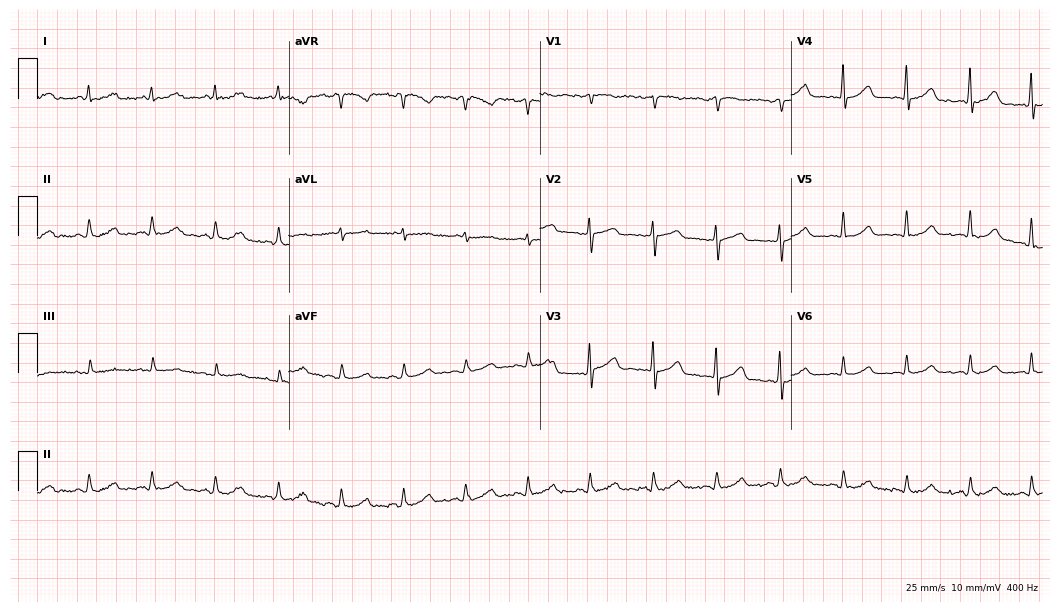
Electrocardiogram, a 64-year-old female patient. Of the six screened findings (first-degree AV block, right bundle branch block (RBBB), left bundle branch block (LBBB), sinus bradycardia, atrial fibrillation (AF), sinus tachycardia), none is recorded.